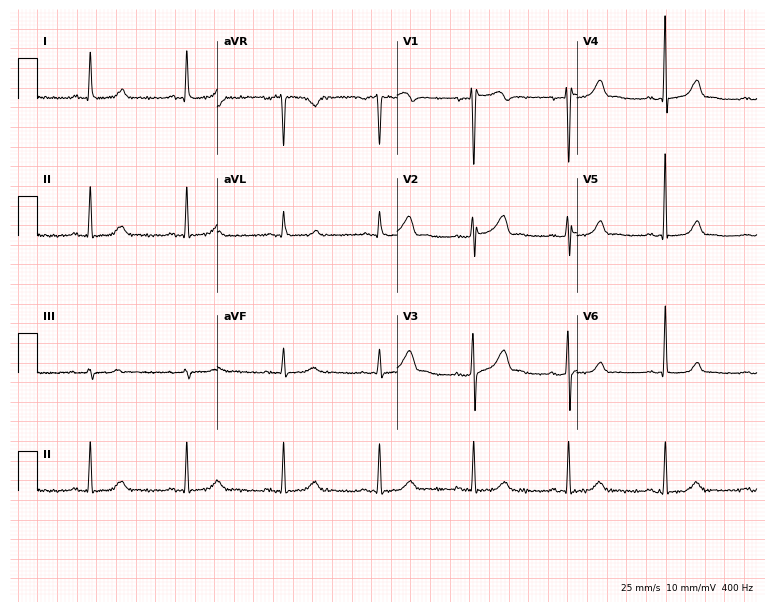
Resting 12-lead electrocardiogram. Patient: a 51-year-old woman. Read as a normal ECG.